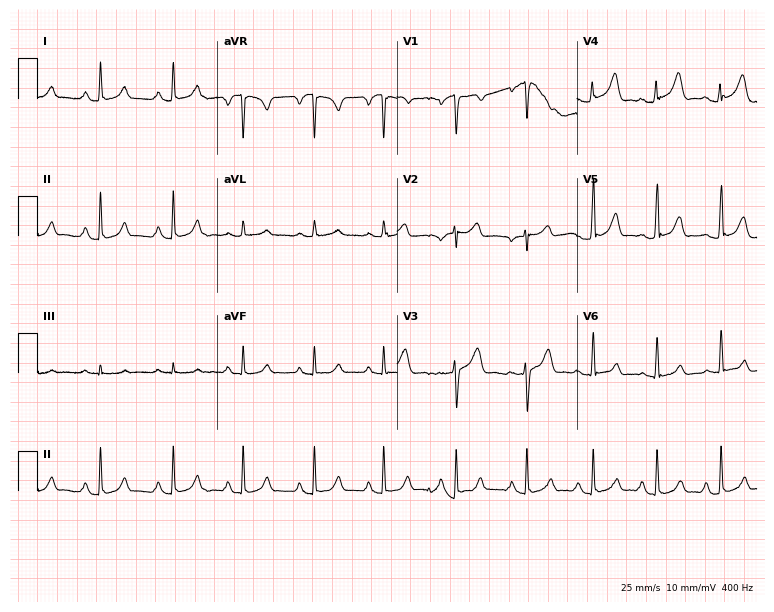
Electrocardiogram, a 25-year-old man. Overall reading on record: normal ECG.